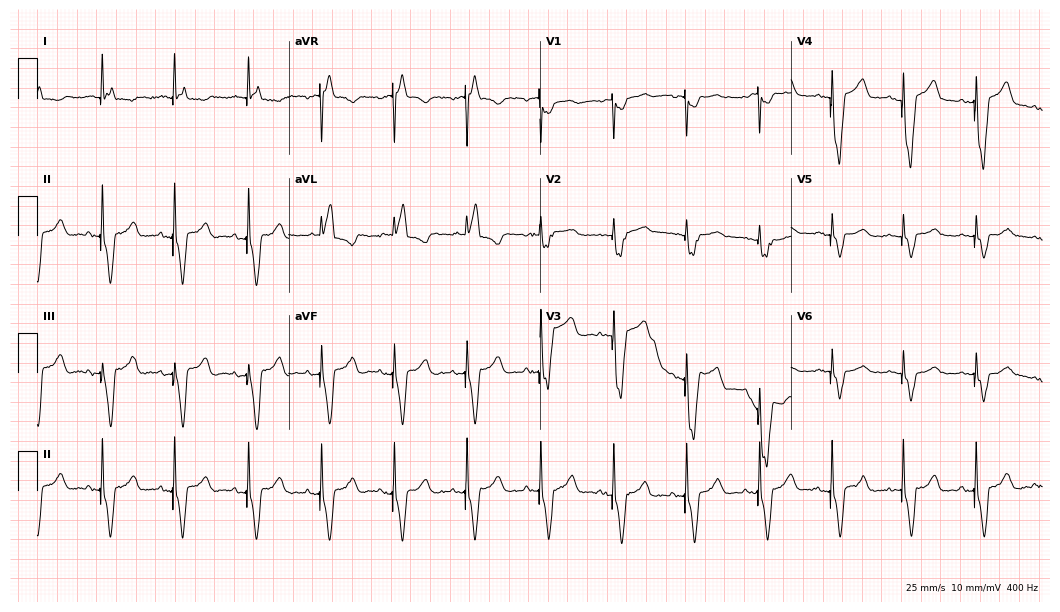
Resting 12-lead electrocardiogram. Patient: an 83-year-old male. None of these six findings is recorded: first-degree AV block, right bundle branch block, left bundle branch block, sinus bradycardia, atrial fibrillation, sinus tachycardia.